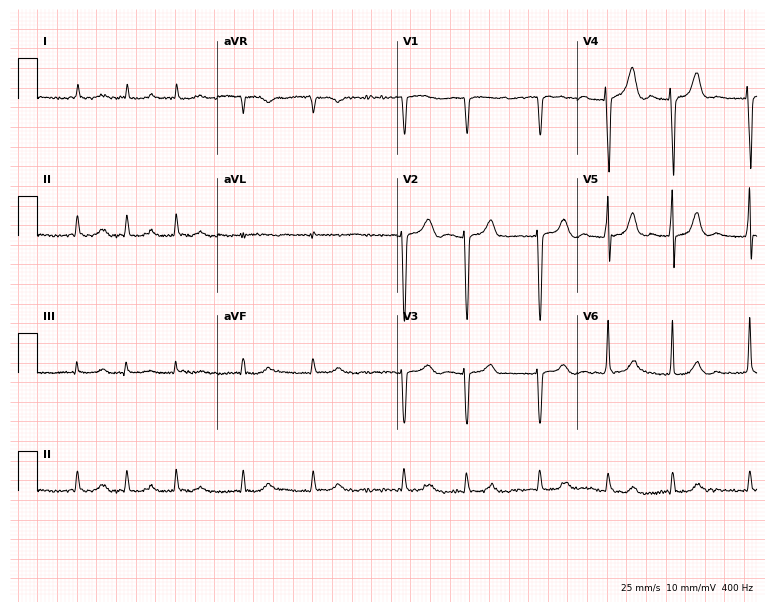
Resting 12-lead electrocardiogram (7.3-second recording at 400 Hz). Patient: a man, 73 years old. The tracing shows atrial fibrillation.